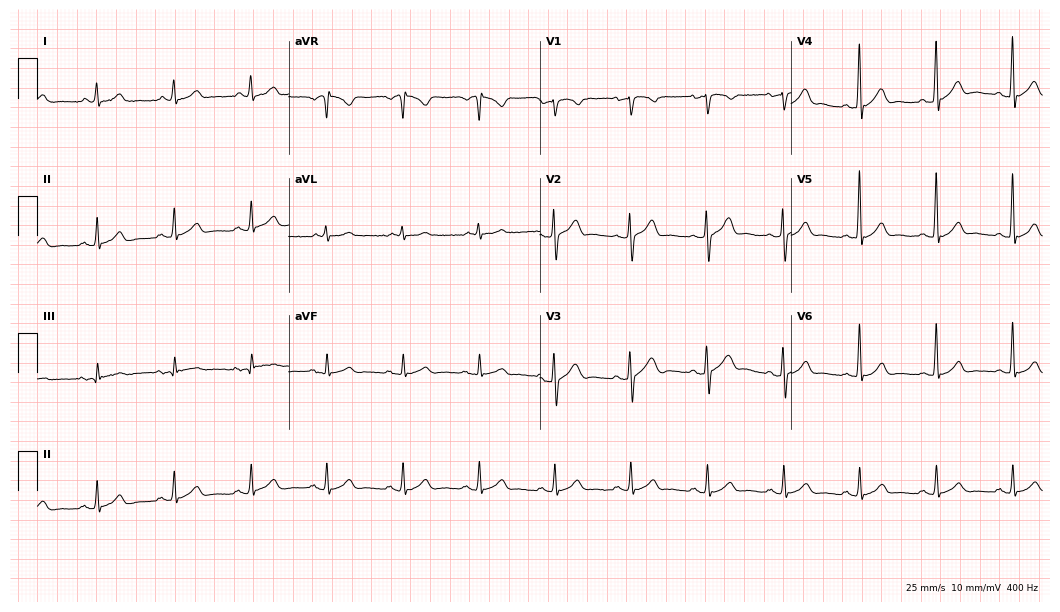
Resting 12-lead electrocardiogram (10.2-second recording at 400 Hz). Patient: a male, 60 years old. None of these six findings is recorded: first-degree AV block, right bundle branch block (RBBB), left bundle branch block (LBBB), sinus bradycardia, atrial fibrillation (AF), sinus tachycardia.